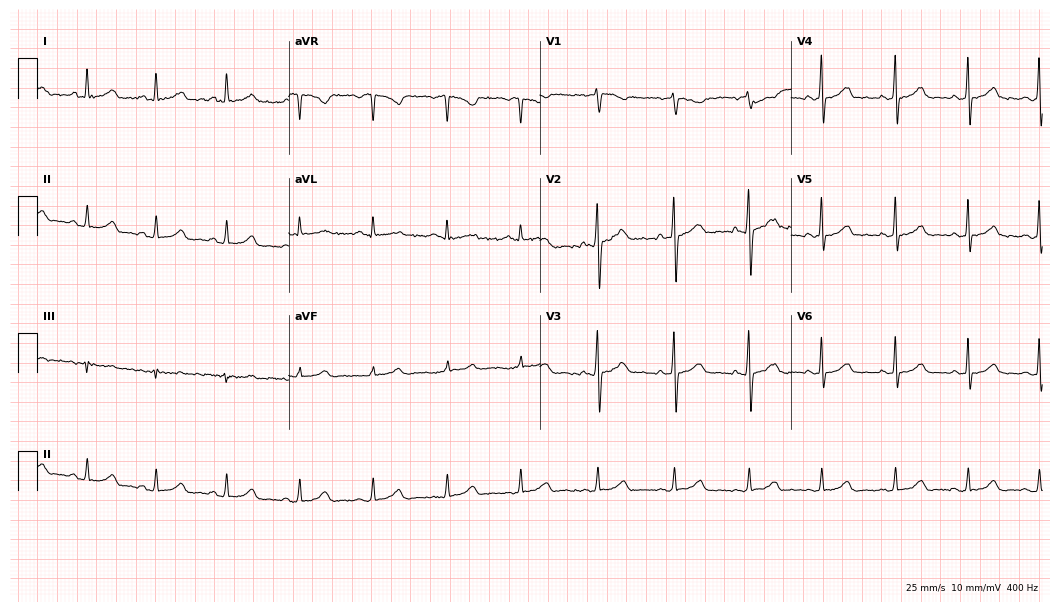
12-lead ECG from a female patient, 24 years old. Labelled as a normal ECG.